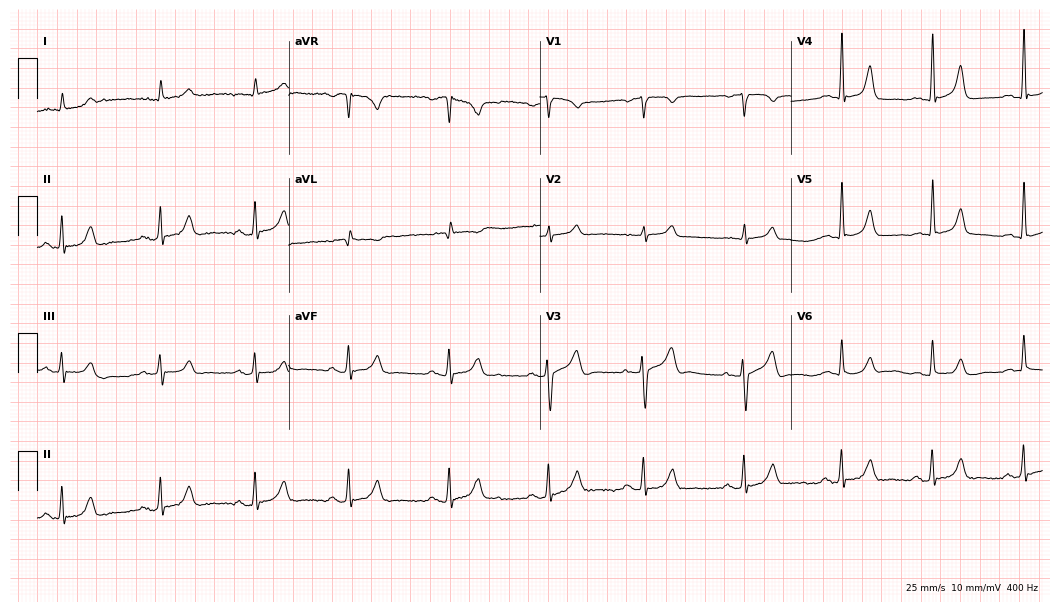
ECG — a 66-year-old male patient. Labelled as a normal ECG.